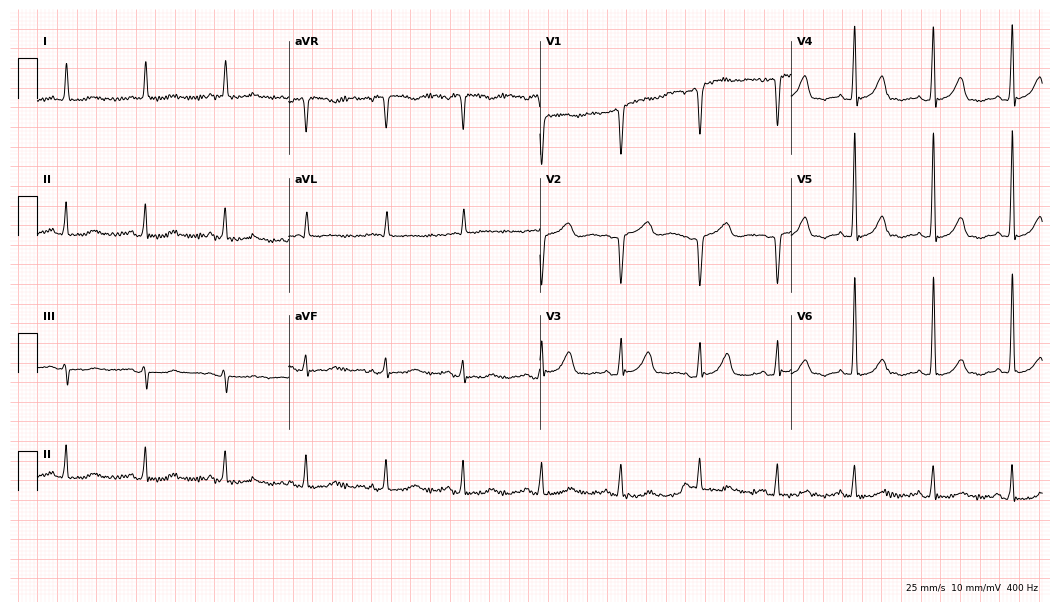
Electrocardiogram, a 75-year-old female. Of the six screened findings (first-degree AV block, right bundle branch block, left bundle branch block, sinus bradycardia, atrial fibrillation, sinus tachycardia), none is recorded.